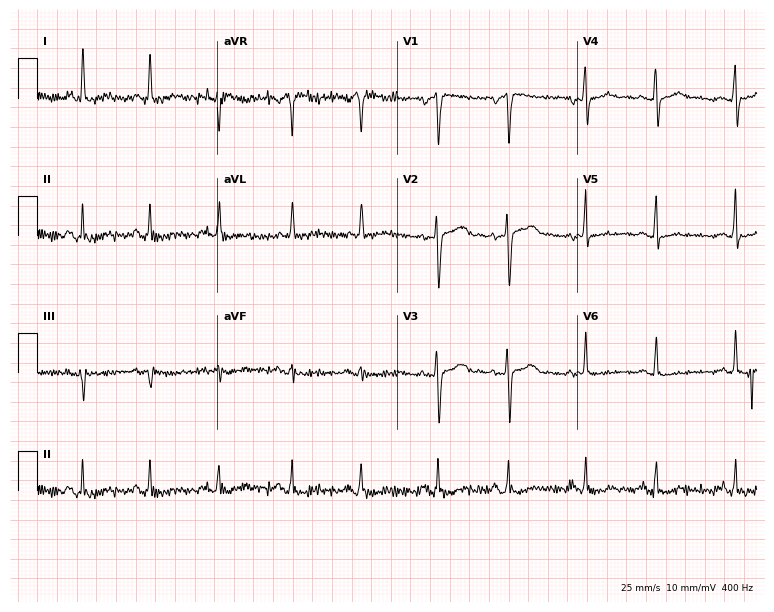
12-lead ECG from a 65-year-old woman. Recorded interpretation: within normal limits.